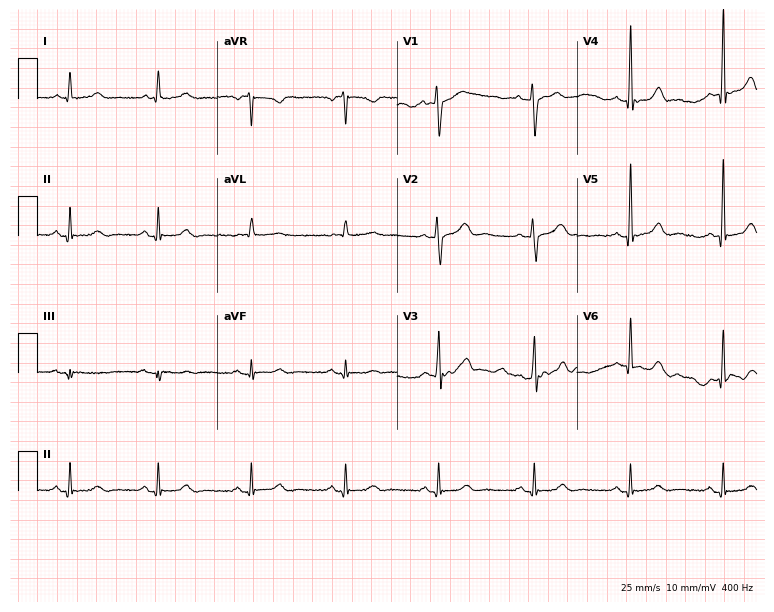
ECG — a 69-year-old female. Labelled as a normal ECG.